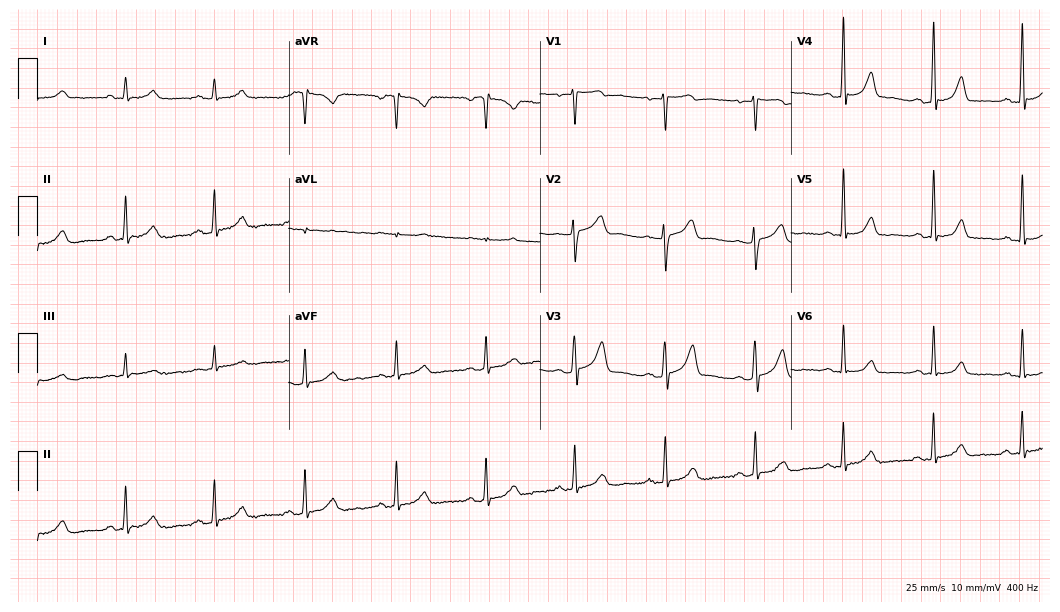
12-lead ECG from a 43-year-old man (10.2-second recording at 400 Hz). Recorded interpretation: within normal limits.